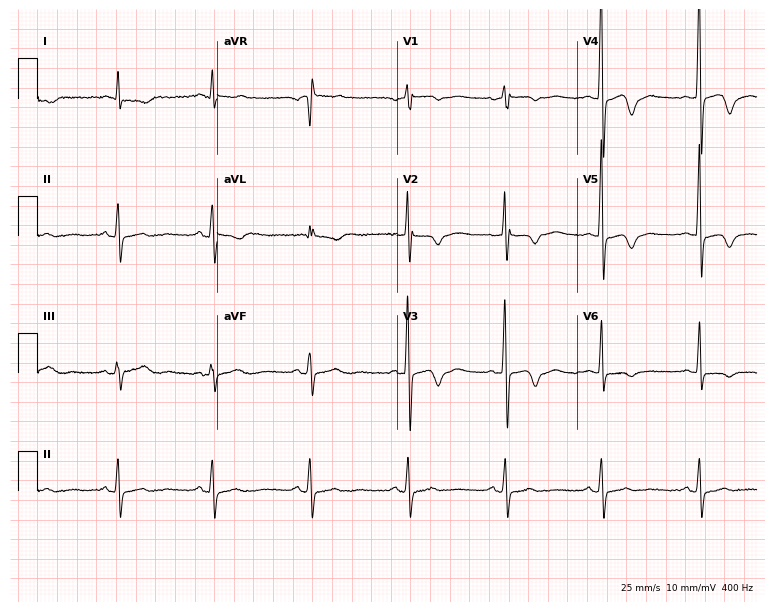
Electrocardiogram, a female patient, 85 years old. Overall reading on record: normal ECG.